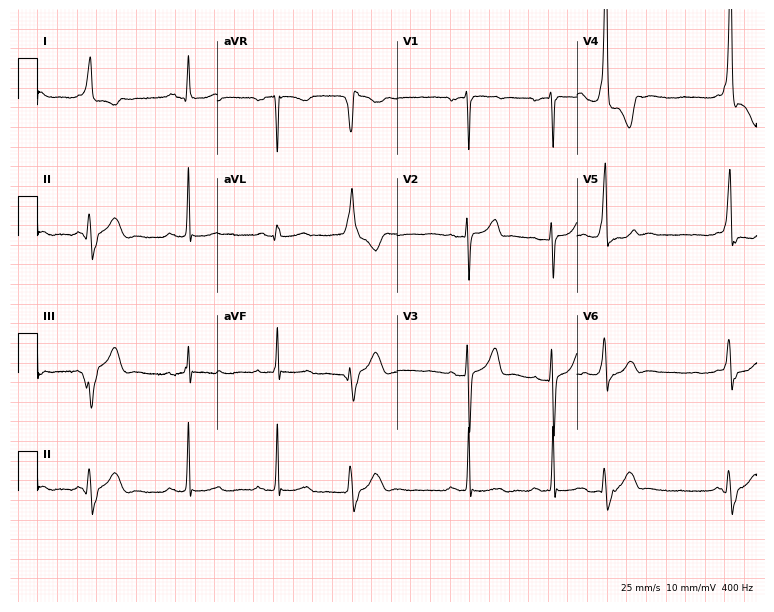
Resting 12-lead electrocardiogram. Patient: a female, 30 years old. None of these six findings is recorded: first-degree AV block, right bundle branch block, left bundle branch block, sinus bradycardia, atrial fibrillation, sinus tachycardia.